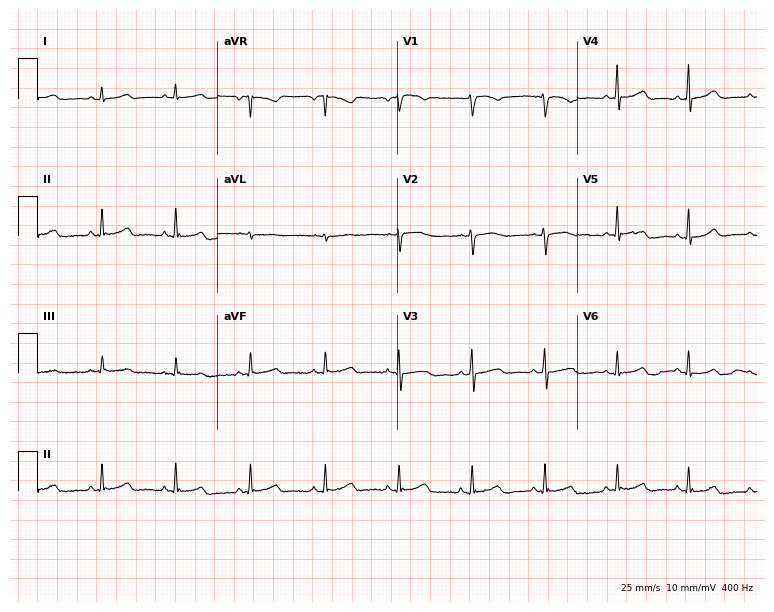
Electrocardiogram, a 59-year-old female. Overall reading on record: normal ECG.